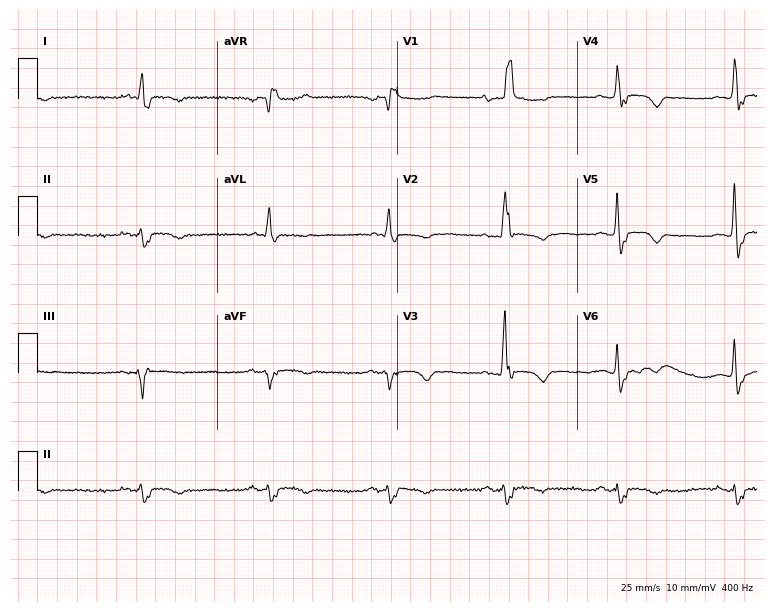
Standard 12-lead ECG recorded from a 78-year-old female. The tracing shows right bundle branch block.